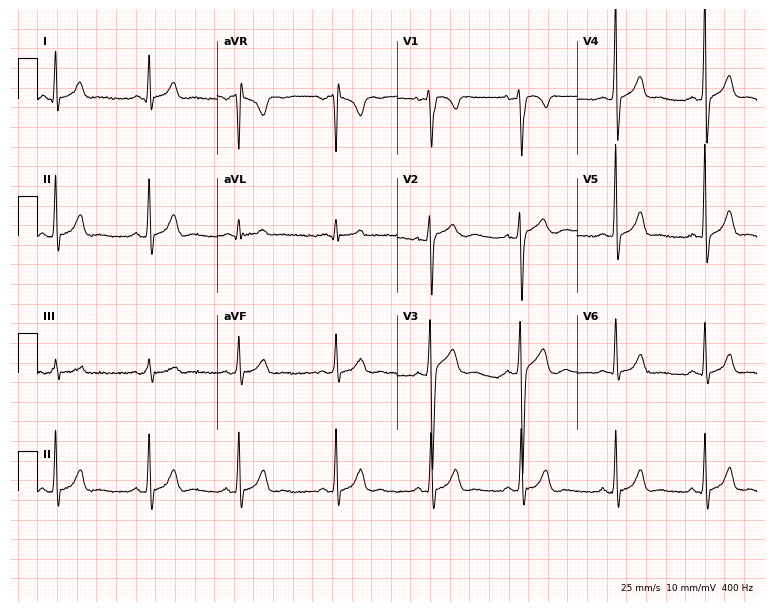
ECG — a man, 17 years old. Labelled as a normal ECG.